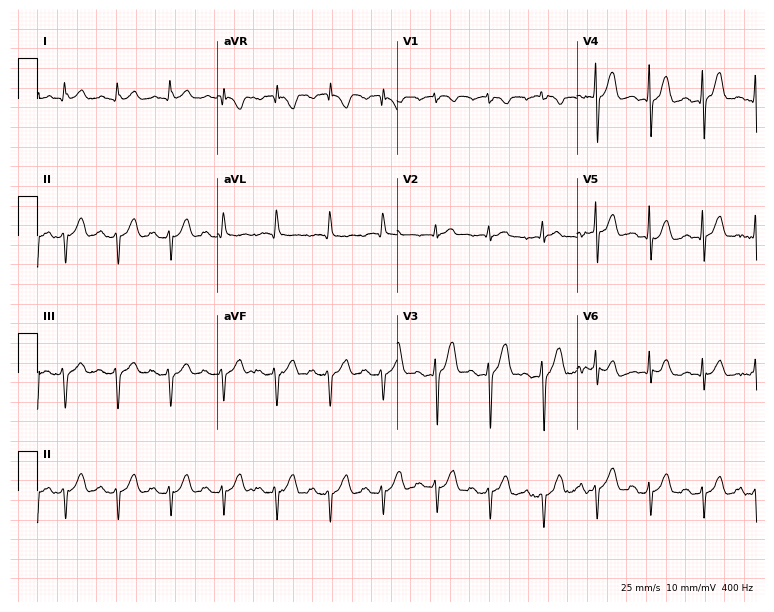
ECG — a 75-year-old male. Findings include sinus tachycardia (a sinus rate of 100 beats per minute or more).